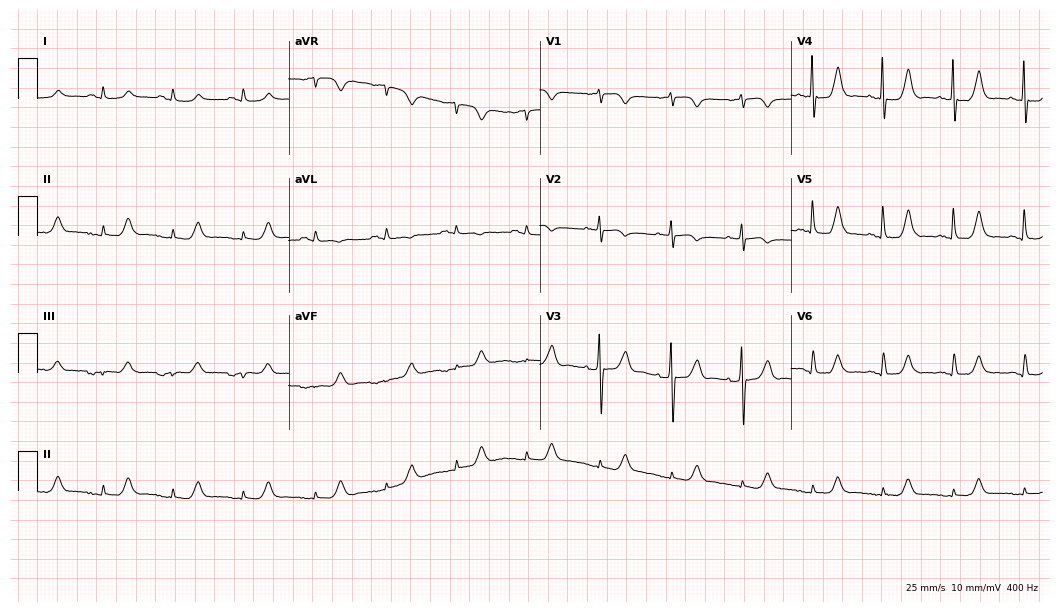
12-lead ECG from a man, 82 years old. Labelled as a normal ECG.